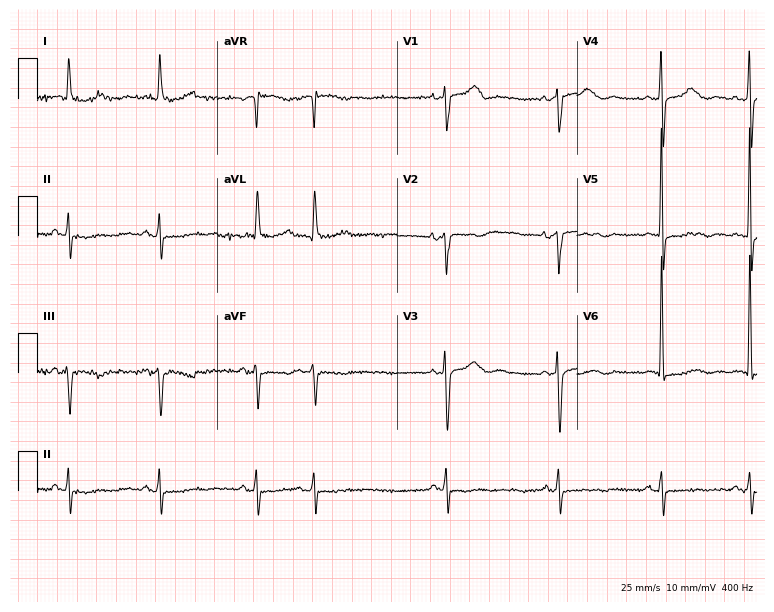
12-lead ECG from an 85-year-old woman. No first-degree AV block, right bundle branch block (RBBB), left bundle branch block (LBBB), sinus bradycardia, atrial fibrillation (AF) or sinus tachycardia recorded for this tracing. Other findings, if any, are not listed.